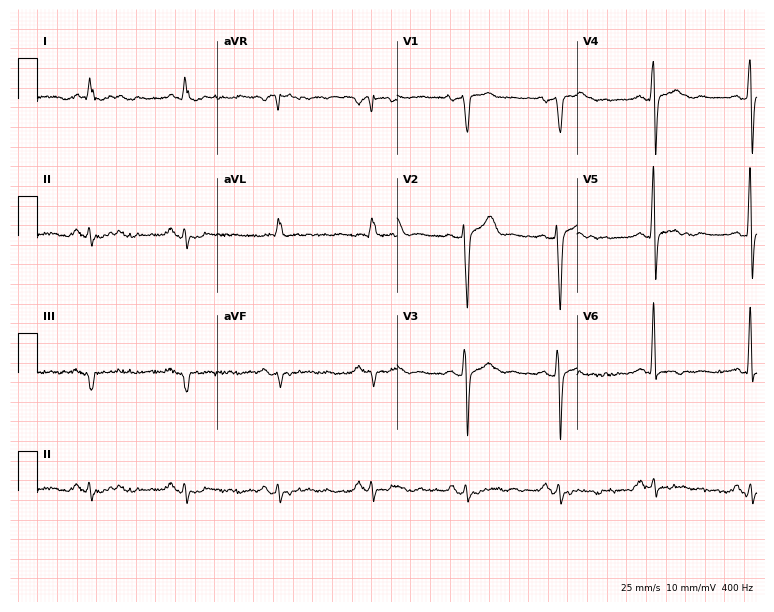
12-lead ECG from a male, 71 years old. Screened for six findings — first-degree AV block, right bundle branch block, left bundle branch block, sinus bradycardia, atrial fibrillation, sinus tachycardia — none is recorded.